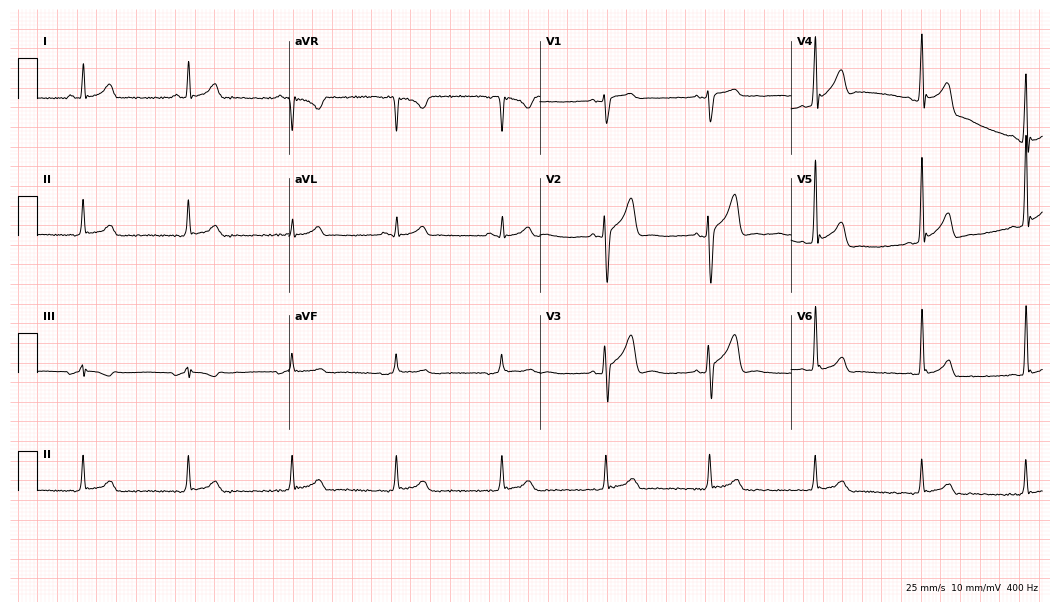
ECG — a male, 41 years old. Screened for six findings — first-degree AV block, right bundle branch block (RBBB), left bundle branch block (LBBB), sinus bradycardia, atrial fibrillation (AF), sinus tachycardia — none is recorded.